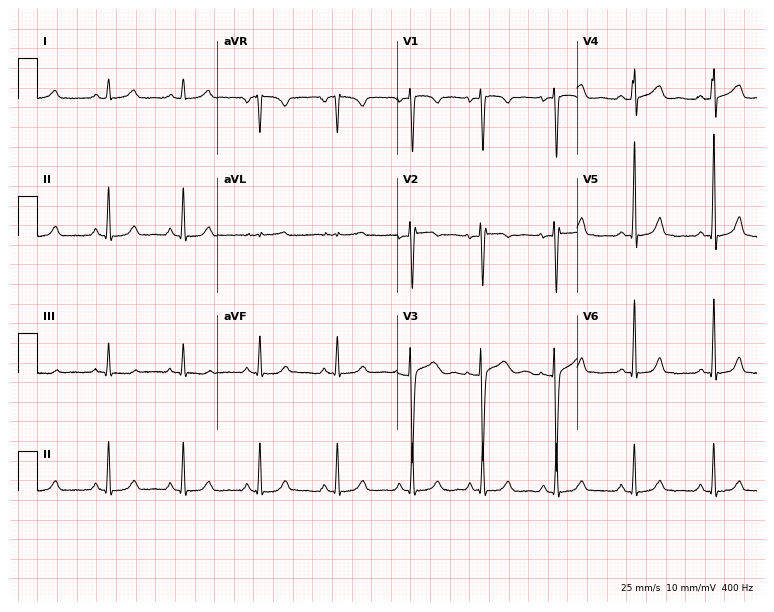
Resting 12-lead electrocardiogram (7.3-second recording at 400 Hz). Patient: a 33-year-old female. None of these six findings is recorded: first-degree AV block, right bundle branch block, left bundle branch block, sinus bradycardia, atrial fibrillation, sinus tachycardia.